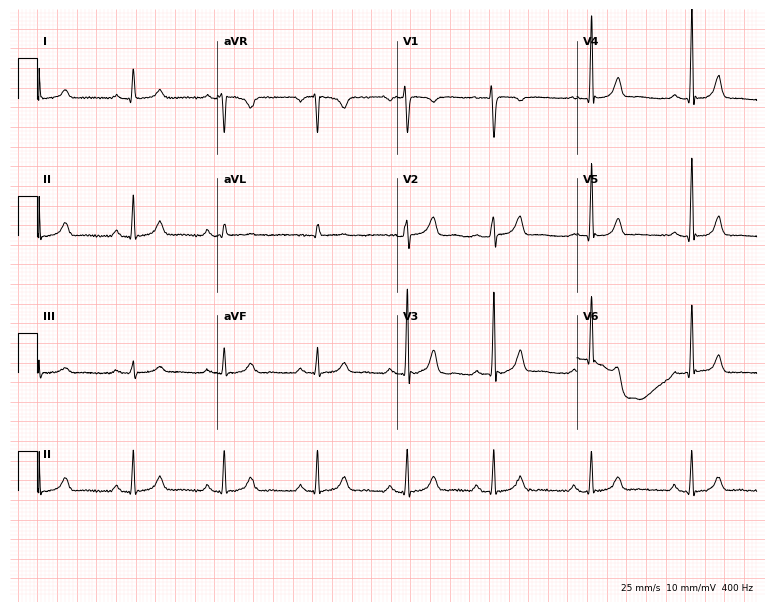
Electrocardiogram (7.3-second recording at 400 Hz), a 42-year-old female patient. Overall reading on record: normal ECG.